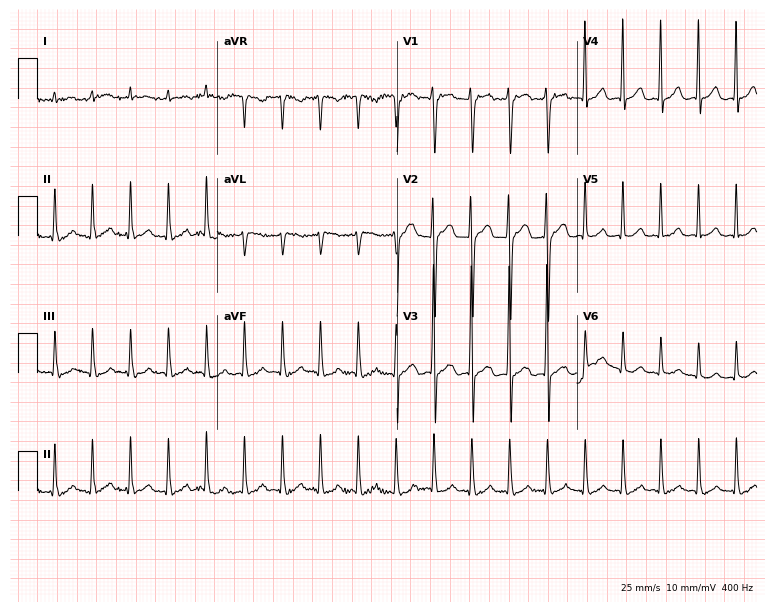
Electrocardiogram, a male patient, 61 years old. Interpretation includes sinus tachycardia (a sinus rate of 100 beats per minute or more).